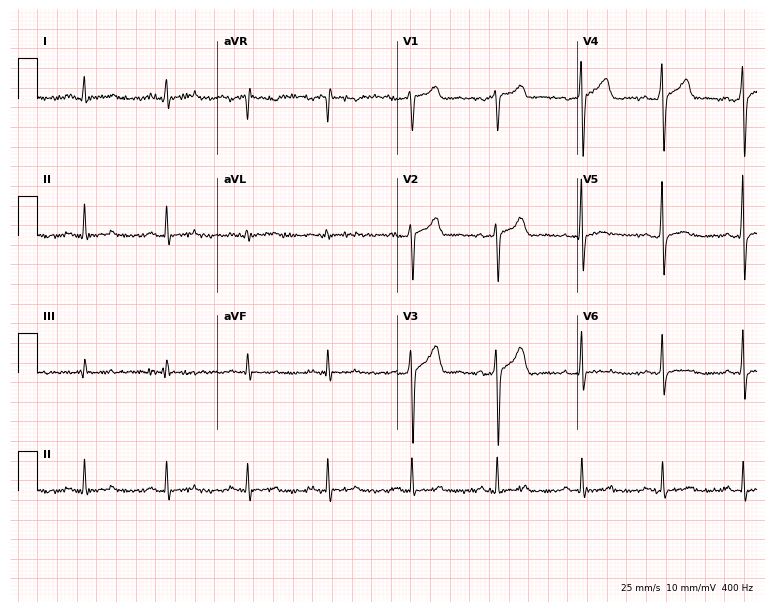
Standard 12-lead ECG recorded from a 38-year-old male (7.3-second recording at 400 Hz). None of these six findings is recorded: first-degree AV block, right bundle branch block, left bundle branch block, sinus bradycardia, atrial fibrillation, sinus tachycardia. Other findings, if any, are not listed.